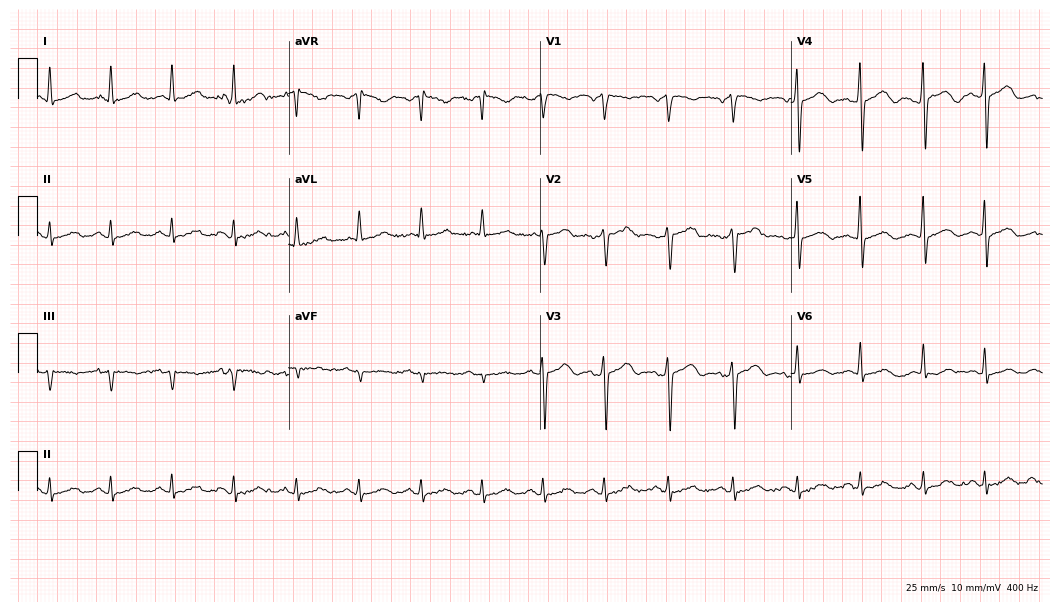
ECG (10.2-second recording at 400 Hz) — a 53-year-old man. Screened for six findings — first-degree AV block, right bundle branch block (RBBB), left bundle branch block (LBBB), sinus bradycardia, atrial fibrillation (AF), sinus tachycardia — none is recorded. Other findings, if any, are not listed.